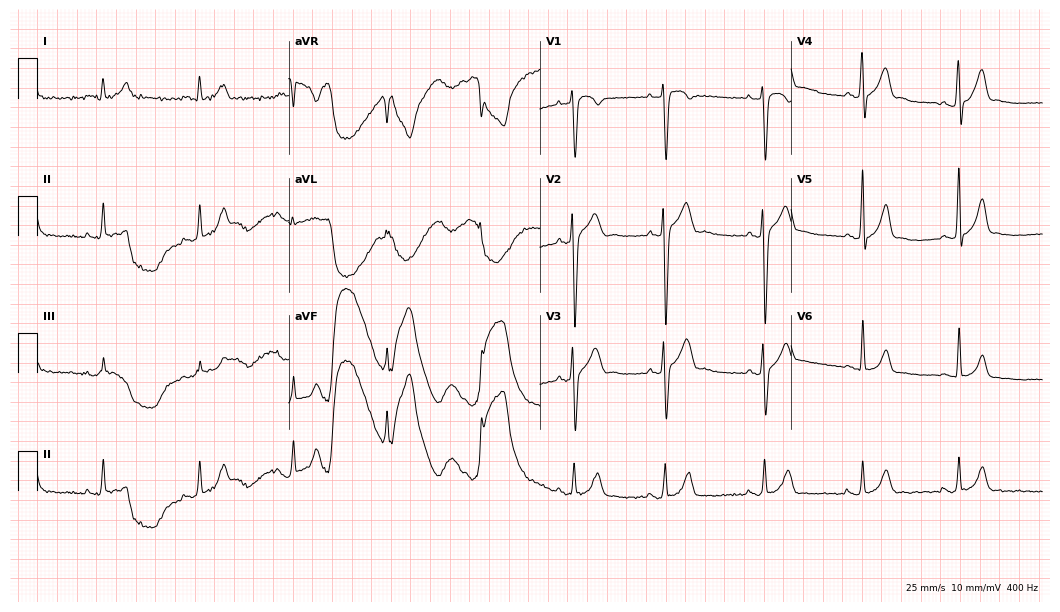
Standard 12-lead ECG recorded from a male, 22 years old. Read as a normal ECG.